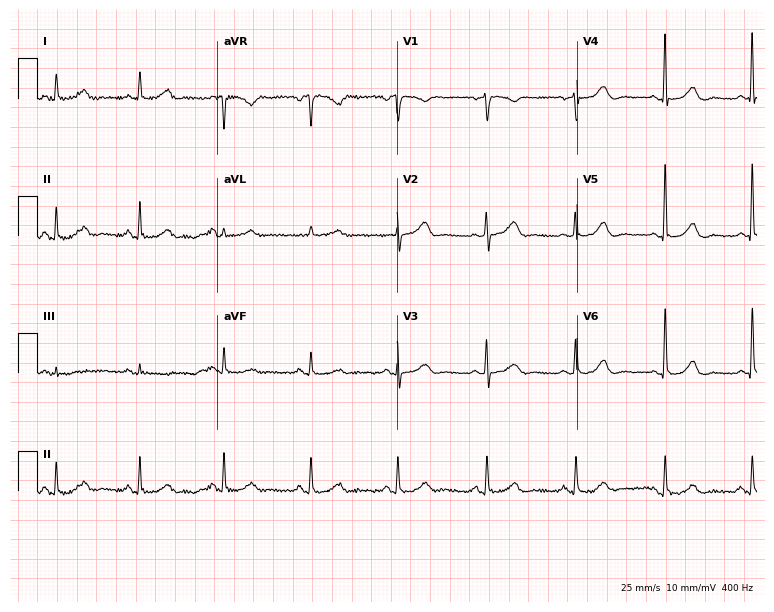
12-lead ECG from a 63-year-old female patient. Recorded interpretation: within normal limits.